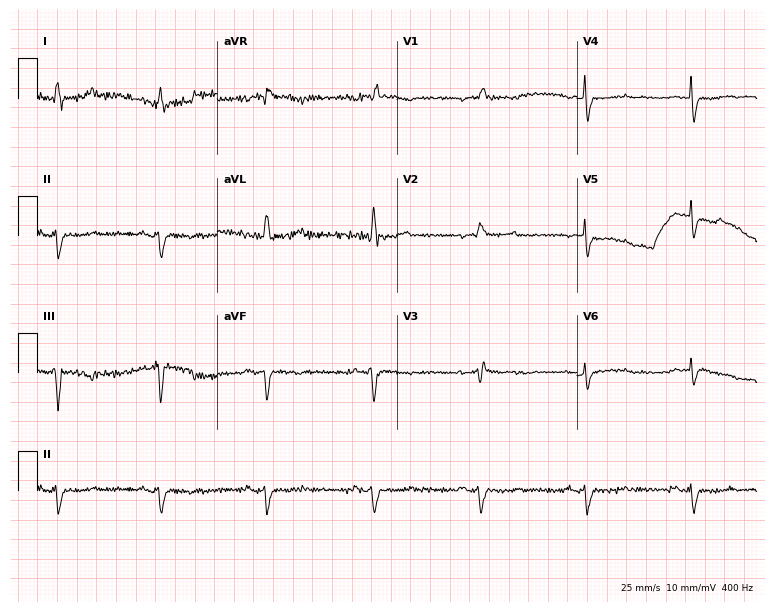
ECG (7.3-second recording at 400 Hz) — a woman, 56 years old. Screened for six findings — first-degree AV block, right bundle branch block, left bundle branch block, sinus bradycardia, atrial fibrillation, sinus tachycardia — none is recorded. Only these six findings were labelled.